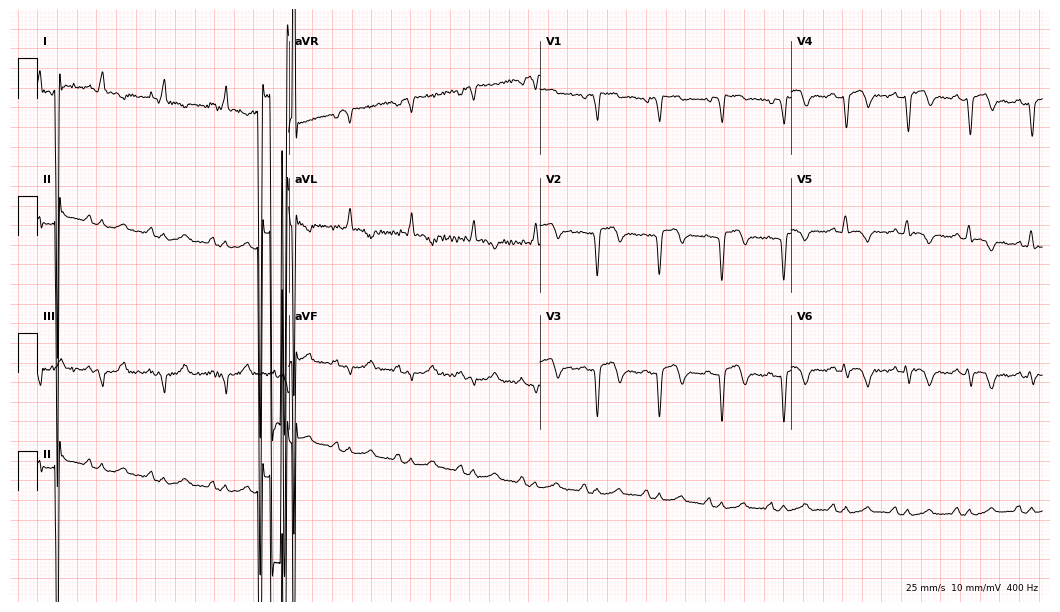
ECG — a 79-year-old man. Screened for six findings — first-degree AV block, right bundle branch block (RBBB), left bundle branch block (LBBB), sinus bradycardia, atrial fibrillation (AF), sinus tachycardia — none is recorded. Findings outside these six are not listed.